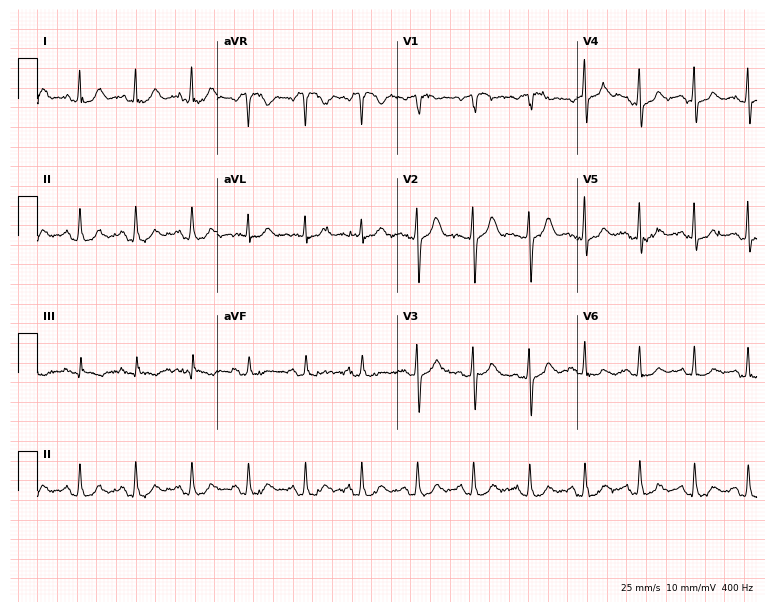
ECG — a 66-year-old woman. Findings include sinus tachycardia (a sinus rate of 100 beats per minute or more).